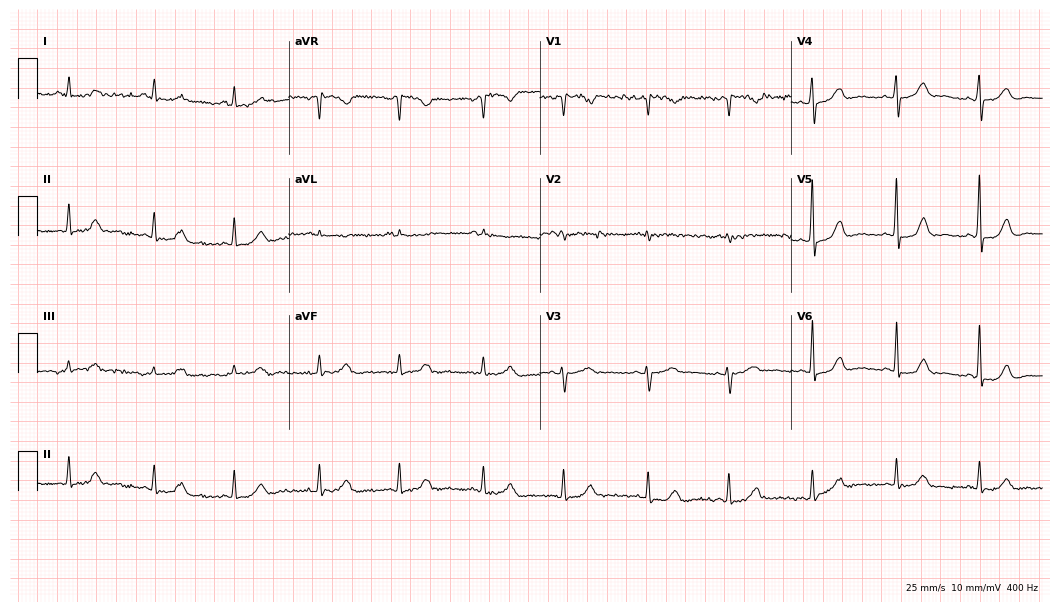
12-lead ECG from a female patient, 64 years old. No first-degree AV block, right bundle branch block, left bundle branch block, sinus bradycardia, atrial fibrillation or sinus tachycardia recorded for this tracing. Only these six findings were labelled.